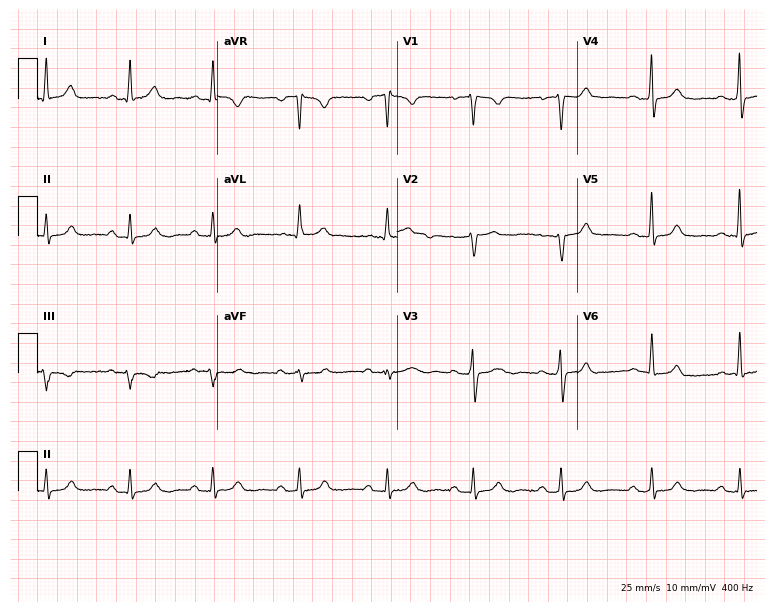
Resting 12-lead electrocardiogram. Patient: a 55-year-old female. Read as a normal ECG.